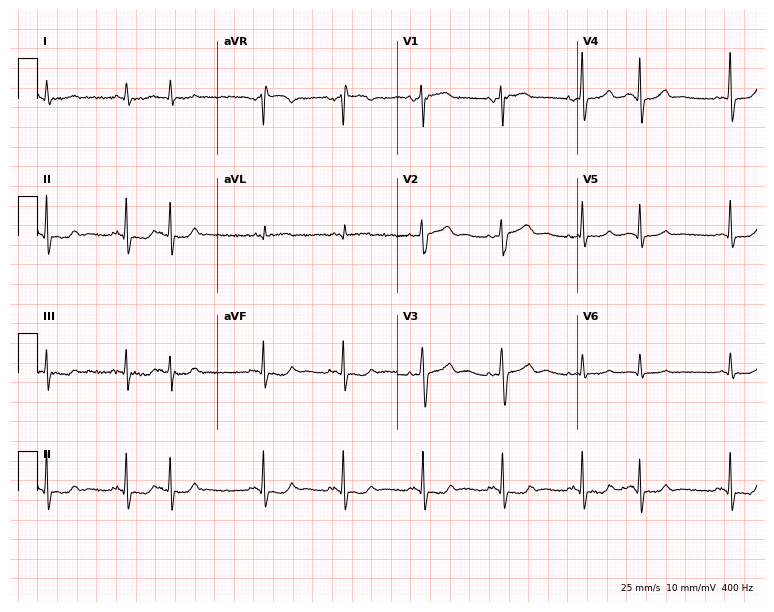
12-lead ECG from a male patient, 76 years old (7.3-second recording at 400 Hz). No first-degree AV block, right bundle branch block (RBBB), left bundle branch block (LBBB), sinus bradycardia, atrial fibrillation (AF) or sinus tachycardia recorded for this tracing.